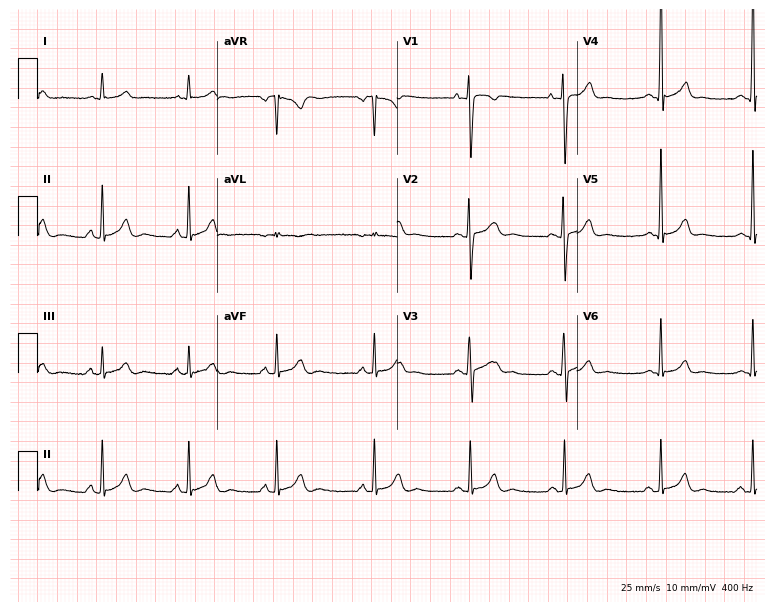
Electrocardiogram, an 18-year-old man. Overall reading on record: normal ECG.